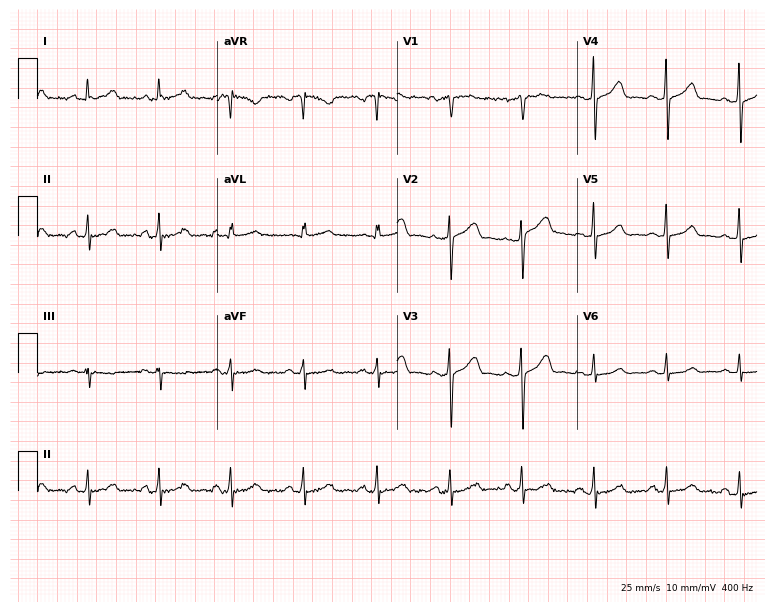
12-lead ECG from a female patient, 39 years old (7.3-second recording at 400 Hz). Recorded interpretation: within normal limits.